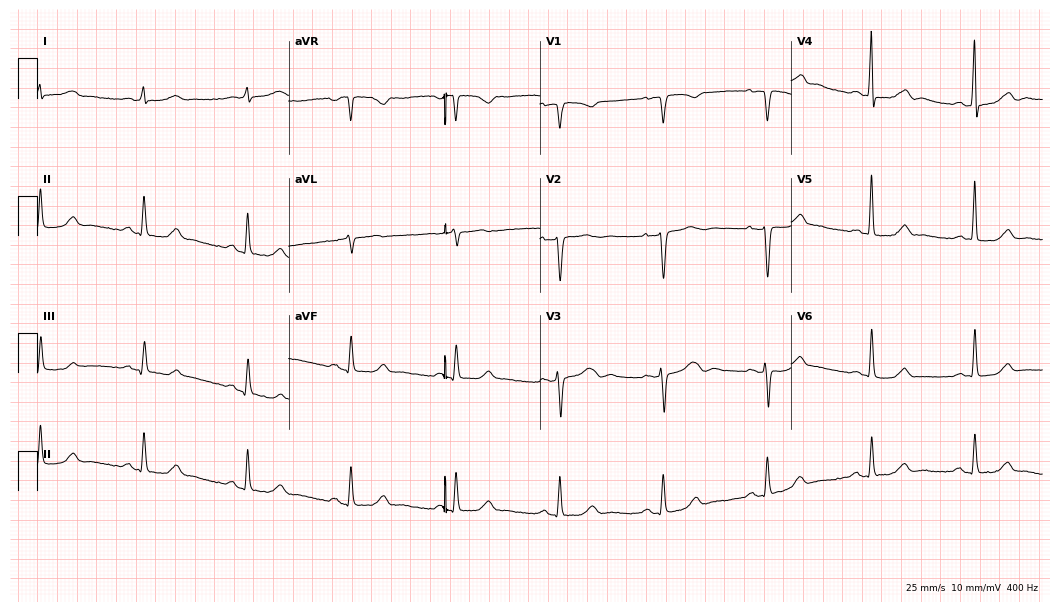
Resting 12-lead electrocardiogram. Patient: a female, 69 years old. None of these six findings is recorded: first-degree AV block, right bundle branch block, left bundle branch block, sinus bradycardia, atrial fibrillation, sinus tachycardia. Only these six findings were labelled.